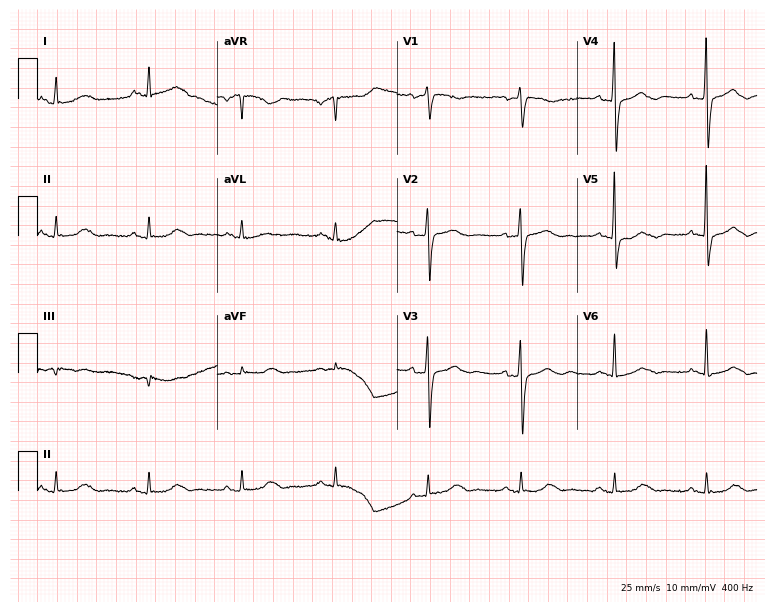
12-lead ECG from a female, 64 years old. No first-degree AV block, right bundle branch block, left bundle branch block, sinus bradycardia, atrial fibrillation or sinus tachycardia recorded for this tracing. Findings outside these six are not listed.